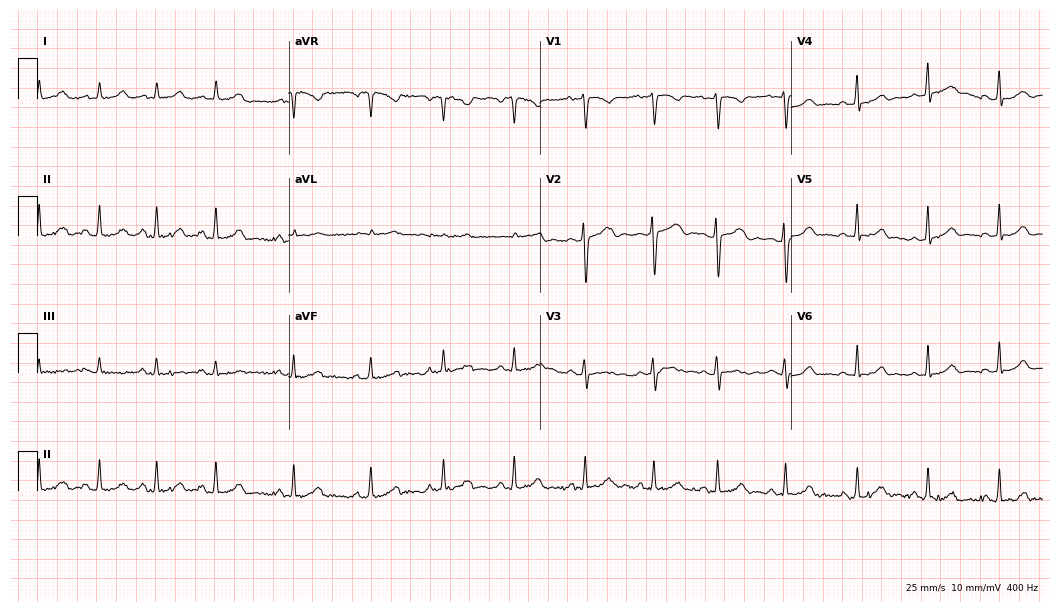
12-lead ECG from a female patient, 18 years old. Screened for six findings — first-degree AV block, right bundle branch block, left bundle branch block, sinus bradycardia, atrial fibrillation, sinus tachycardia — none is recorded. Findings outside these six are not listed.